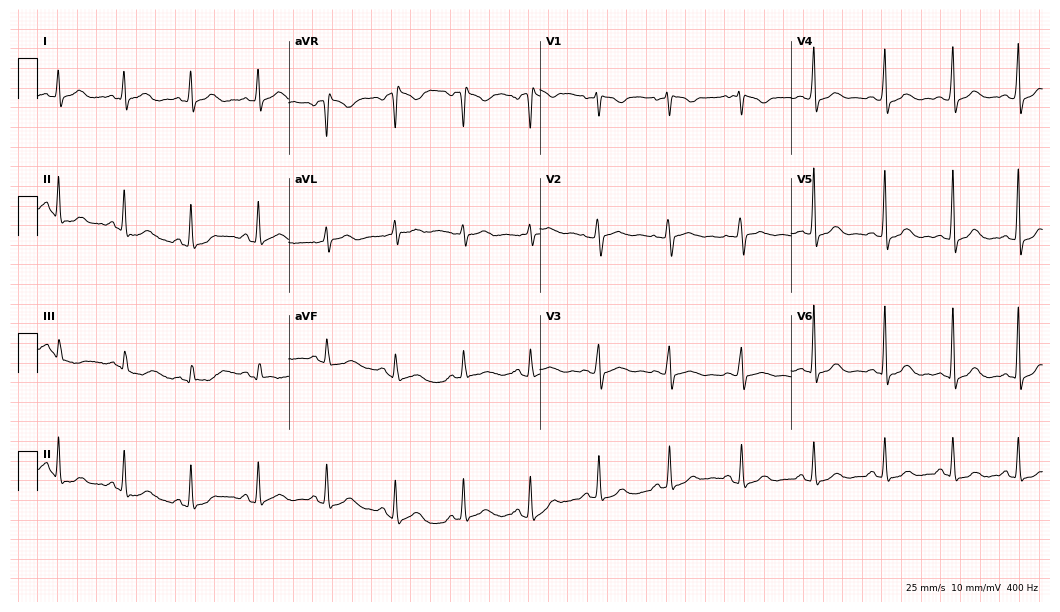
Electrocardiogram (10.2-second recording at 400 Hz), a female patient, 48 years old. Overall reading on record: normal ECG.